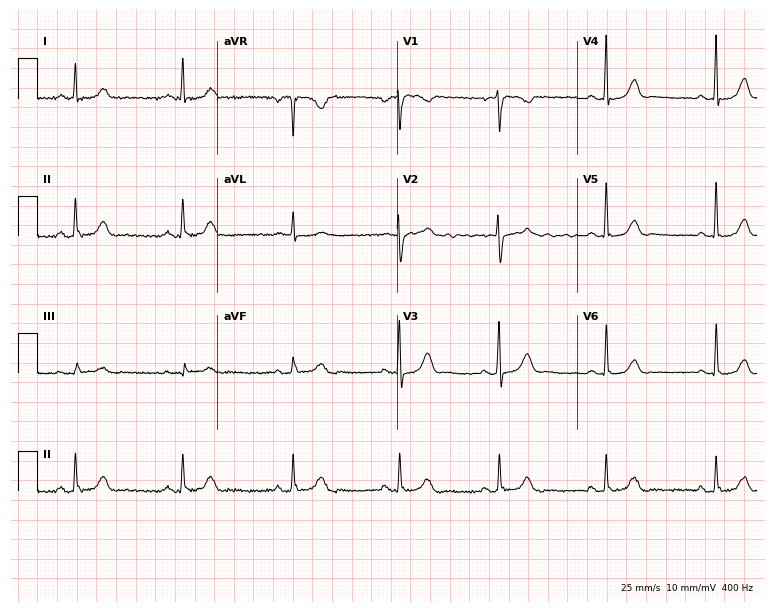
Resting 12-lead electrocardiogram (7.3-second recording at 400 Hz). Patient: a 52-year-old female. None of these six findings is recorded: first-degree AV block, right bundle branch block (RBBB), left bundle branch block (LBBB), sinus bradycardia, atrial fibrillation (AF), sinus tachycardia.